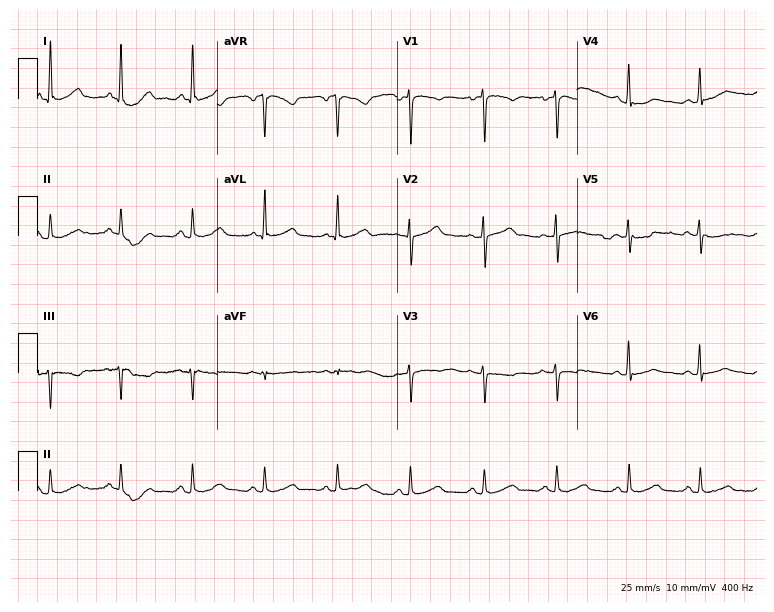
ECG — a male, 44 years old. Labelled as a normal ECG.